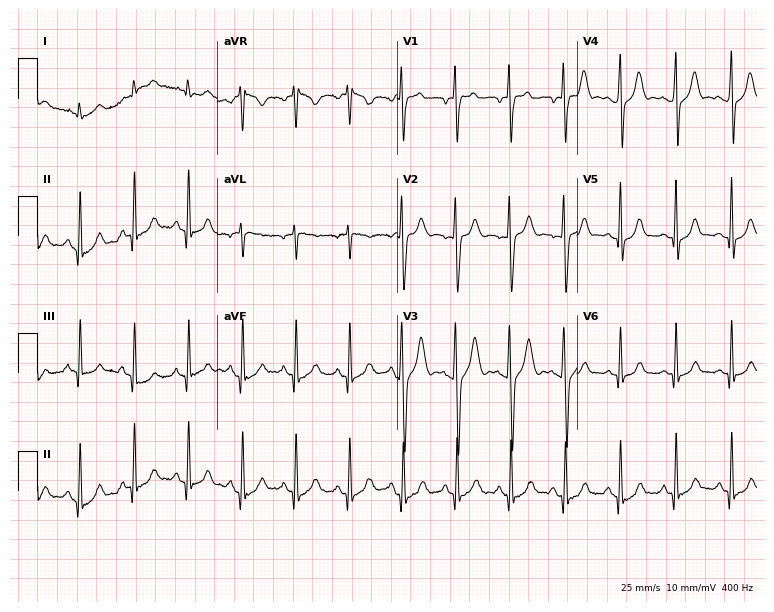
Standard 12-lead ECG recorded from a male, 19 years old (7.3-second recording at 400 Hz). None of these six findings is recorded: first-degree AV block, right bundle branch block, left bundle branch block, sinus bradycardia, atrial fibrillation, sinus tachycardia. Findings outside these six are not listed.